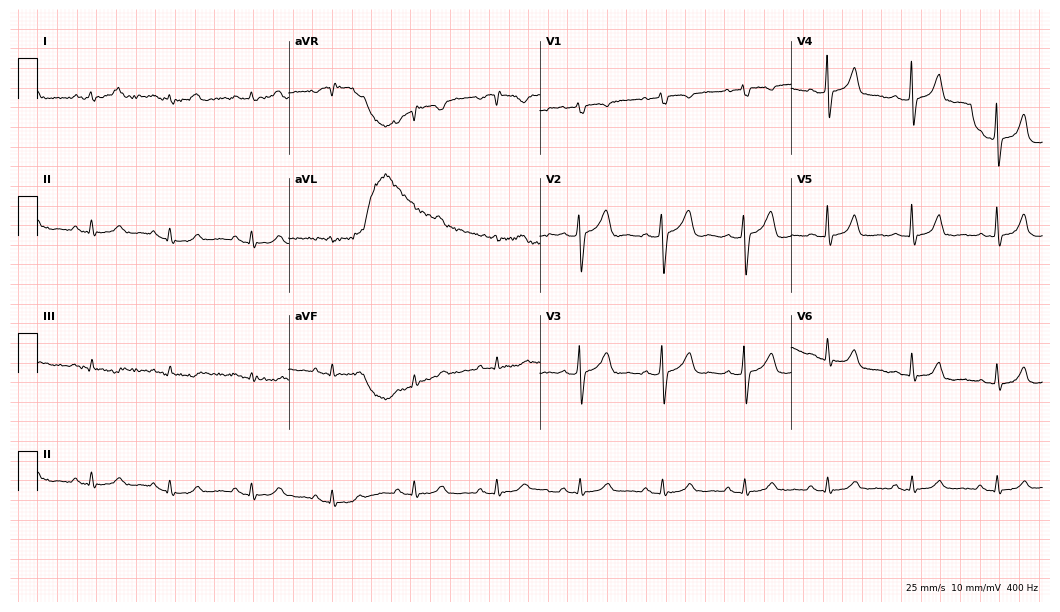
12-lead ECG from a female patient, 39 years old. Labelled as a normal ECG.